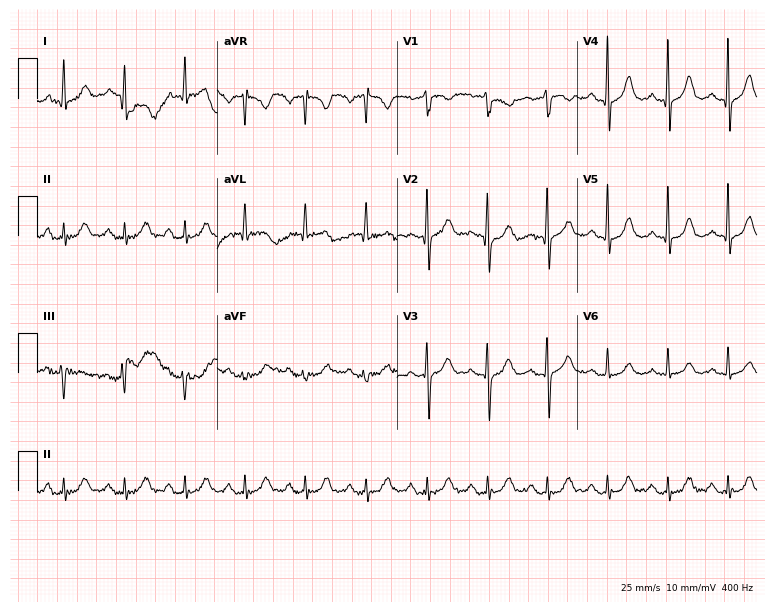
Resting 12-lead electrocardiogram. Patient: a male, 76 years old. Read as a normal ECG.